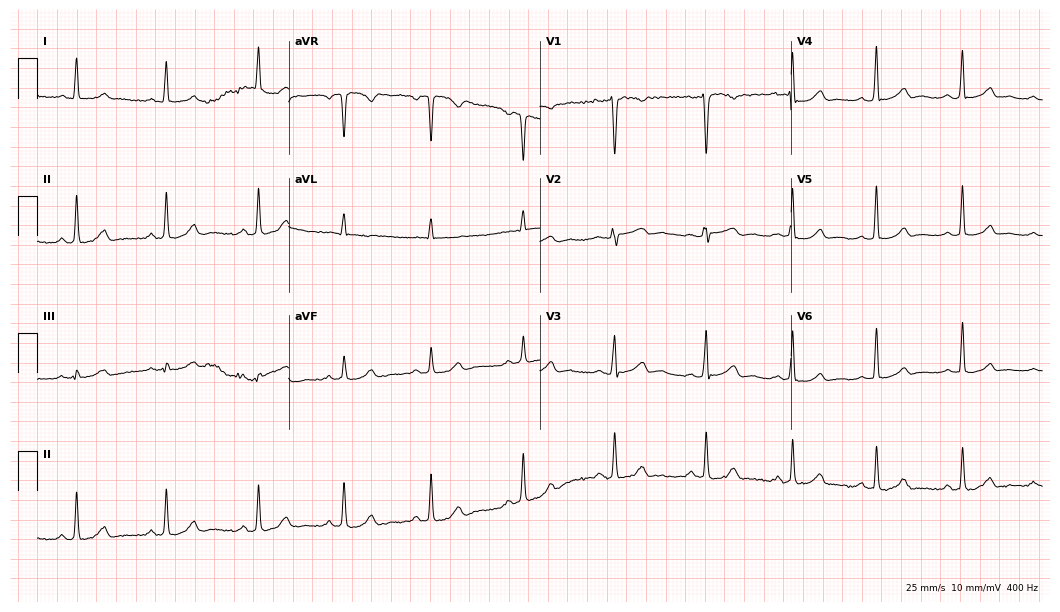
ECG — a 34-year-old female patient. Labelled as a normal ECG.